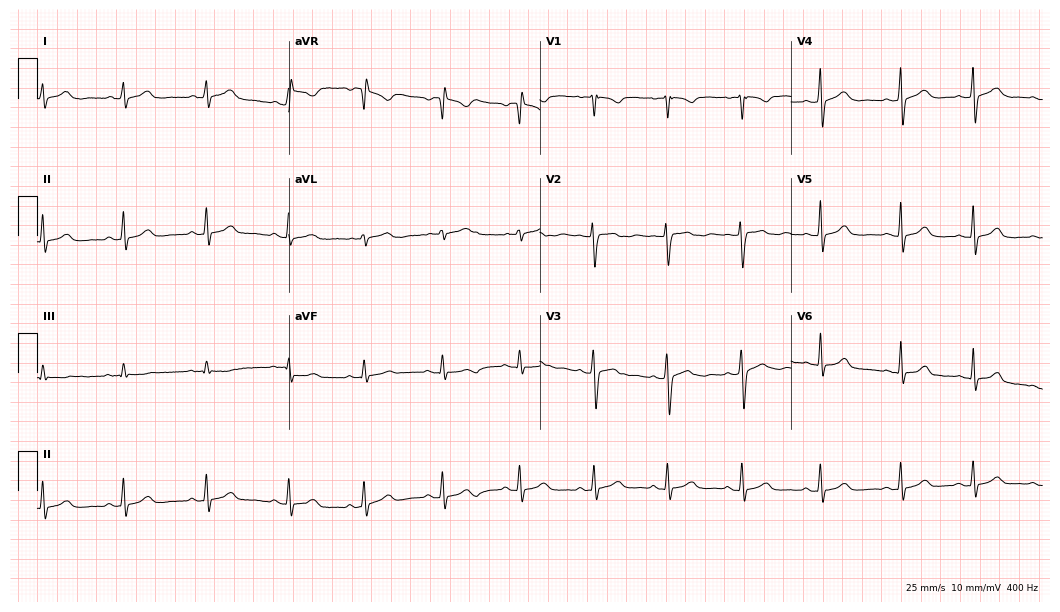
ECG (10.2-second recording at 400 Hz) — a 23-year-old female patient. Labelled as a normal ECG.